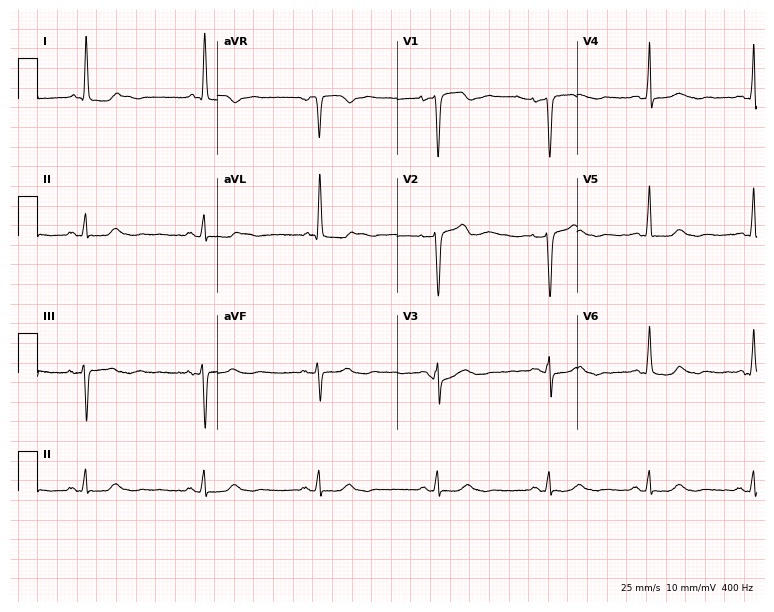
Electrocardiogram (7.3-second recording at 400 Hz), a female, 78 years old. Of the six screened findings (first-degree AV block, right bundle branch block, left bundle branch block, sinus bradycardia, atrial fibrillation, sinus tachycardia), none is recorded.